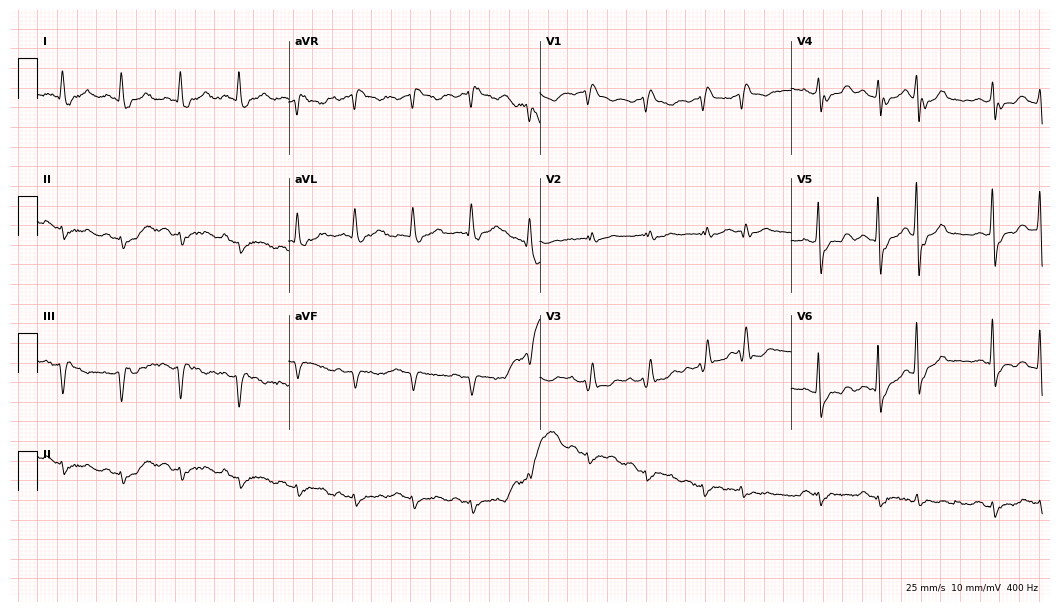
12-lead ECG (10.2-second recording at 400 Hz) from a male patient, 83 years old. Screened for six findings — first-degree AV block, right bundle branch block, left bundle branch block, sinus bradycardia, atrial fibrillation, sinus tachycardia — none is recorded.